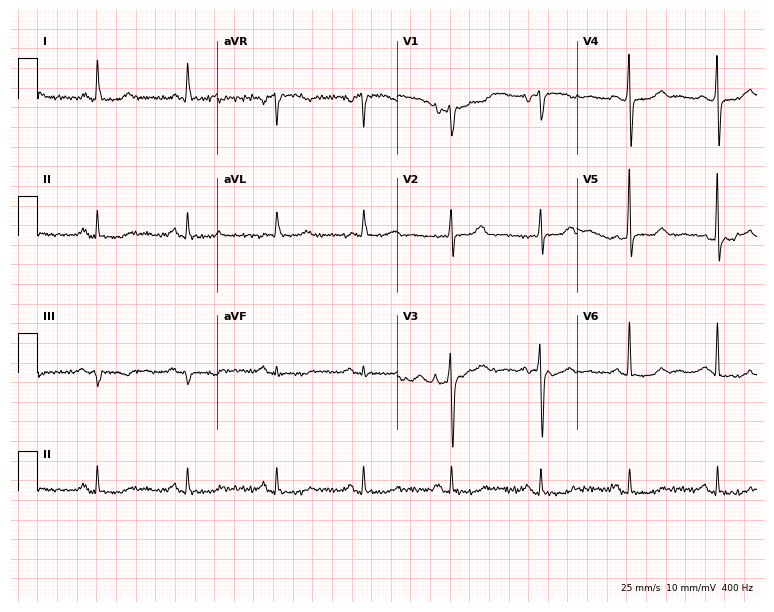
12-lead ECG (7.3-second recording at 400 Hz) from a woman, 71 years old. Screened for six findings — first-degree AV block, right bundle branch block, left bundle branch block, sinus bradycardia, atrial fibrillation, sinus tachycardia — none is recorded.